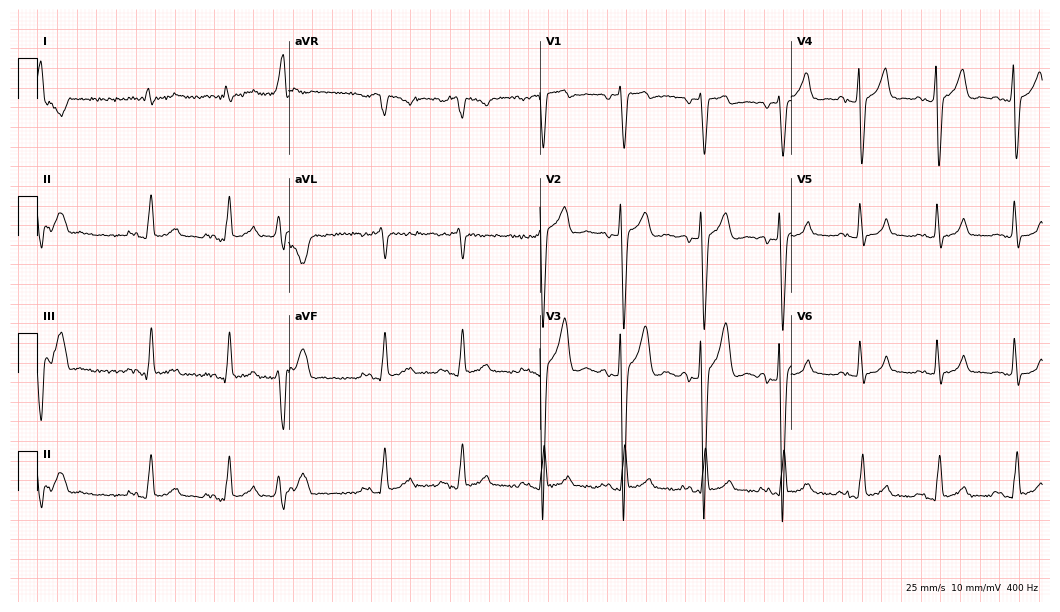
Standard 12-lead ECG recorded from a 61-year-old male. None of these six findings is recorded: first-degree AV block, right bundle branch block (RBBB), left bundle branch block (LBBB), sinus bradycardia, atrial fibrillation (AF), sinus tachycardia. Findings outside these six are not listed.